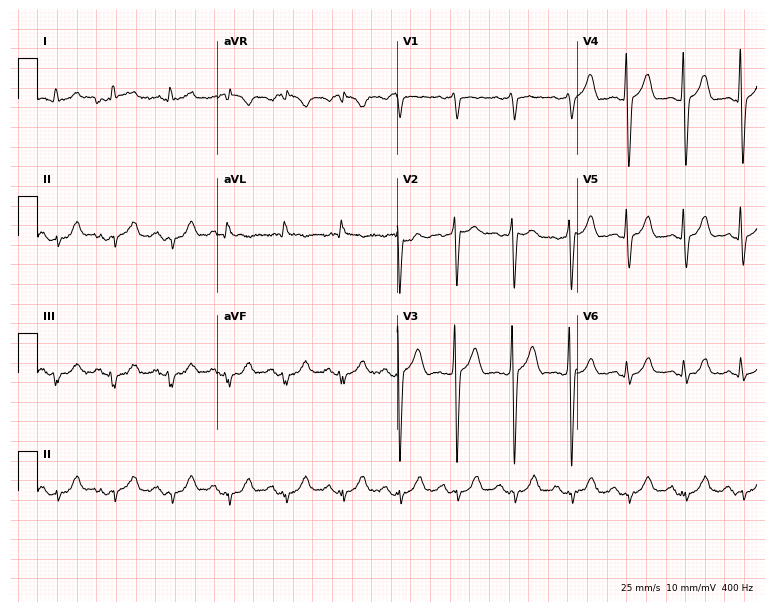
Resting 12-lead electrocardiogram (7.3-second recording at 400 Hz). Patient: a man, 78 years old. The tracing shows sinus tachycardia (a sinus rate of 100 beats per minute or more).